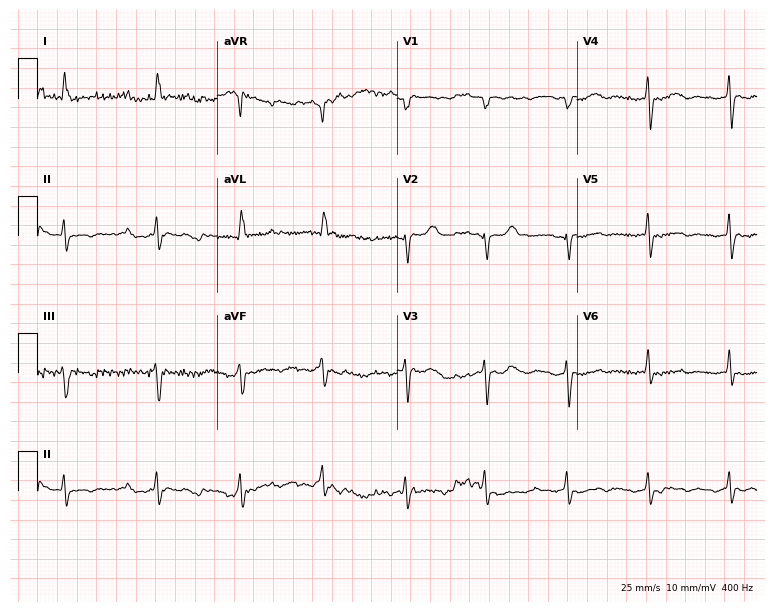
12-lead ECG from a female patient, 83 years old (7.3-second recording at 400 Hz). No first-degree AV block, right bundle branch block (RBBB), left bundle branch block (LBBB), sinus bradycardia, atrial fibrillation (AF) or sinus tachycardia recorded for this tracing. Findings outside these six are not listed.